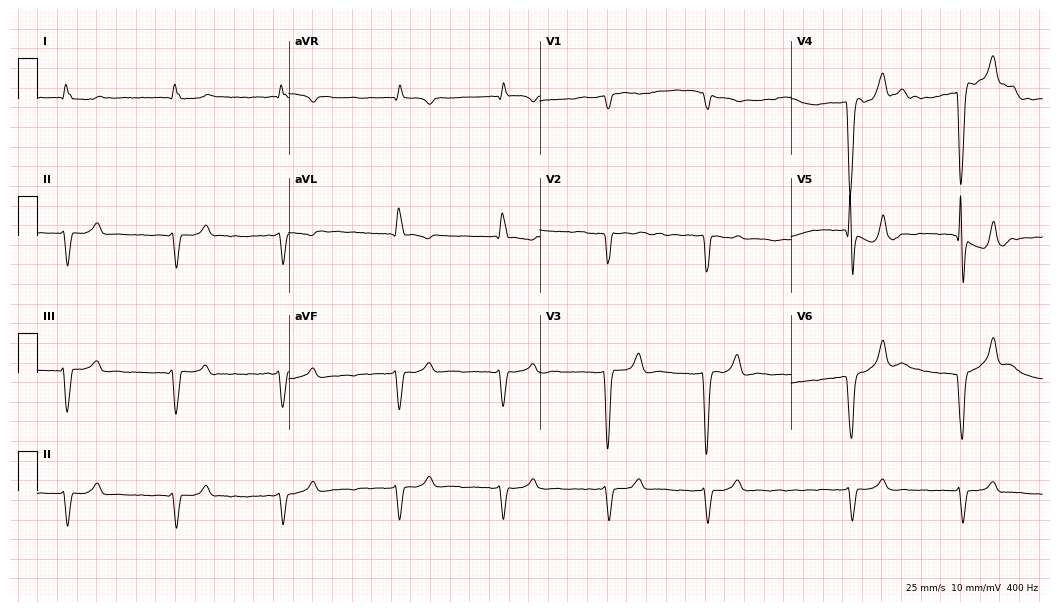
12-lead ECG from a male, 85 years old (10.2-second recording at 400 Hz). Shows left bundle branch block (LBBB), atrial fibrillation (AF).